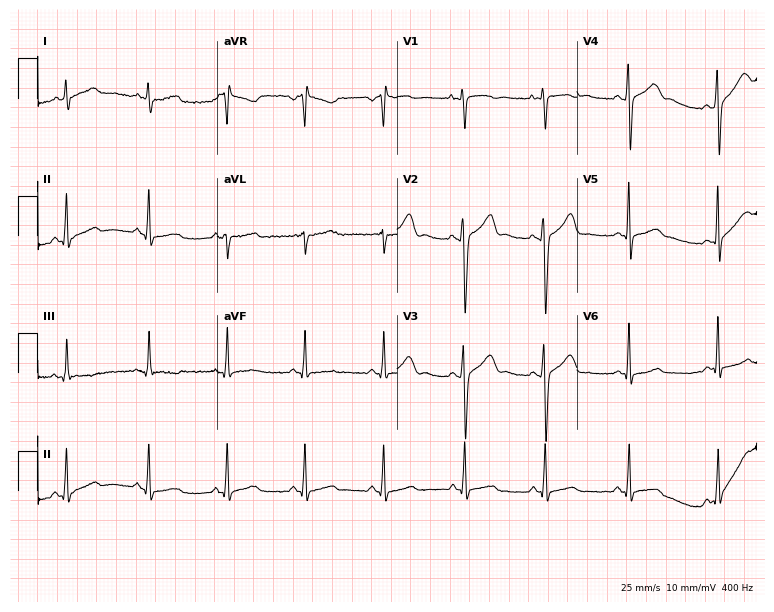
12-lead ECG from a male, 32 years old (7.3-second recording at 400 Hz). Recorded interpretation: within normal limits.